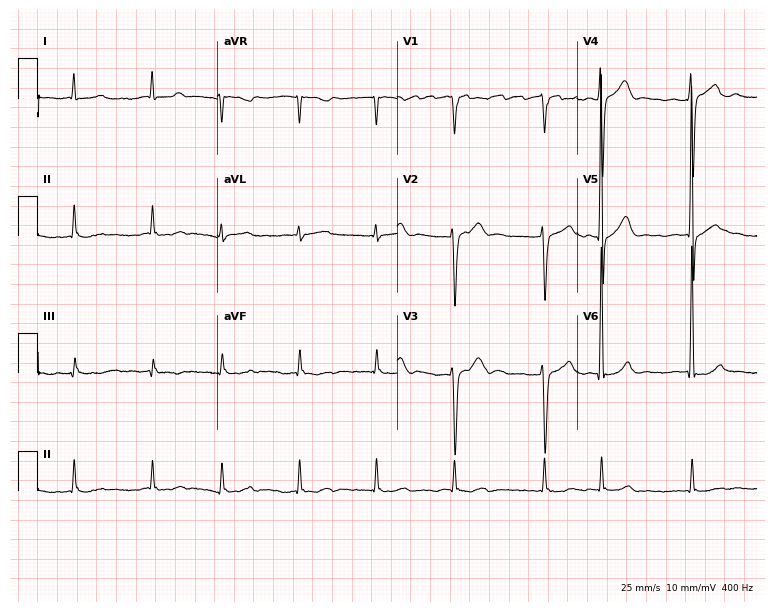
Electrocardiogram (7.3-second recording at 400 Hz), a man, 85 years old. Interpretation includes atrial fibrillation (AF).